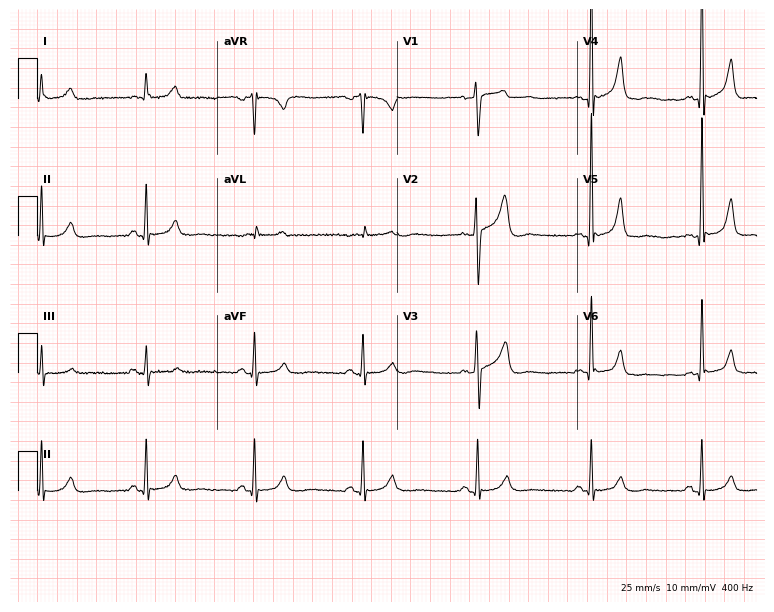
Resting 12-lead electrocardiogram. Patient: a man, 62 years old. None of these six findings is recorded: first-degree AV block, right bundle branch block, left bundle branch block, sinus bradycardia, atrial fibrillation, sinus tachycardia. Findings outside these six are not listed.